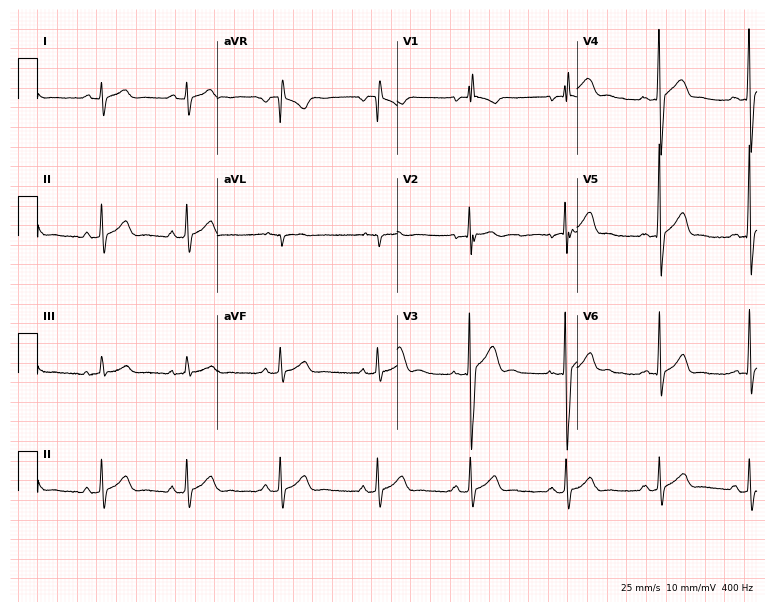
ECG (7.3-second recording at 400 Hz) — a 17-year-old male patient. Screened for six findings — first-degree AV block, right bundle branch block (RBBB), left bundle branch block (LBBB), sinus bradycardia, atrial fibrillation (AF), sinus tachycardia — none is recorded. Only these six findings were labelled.